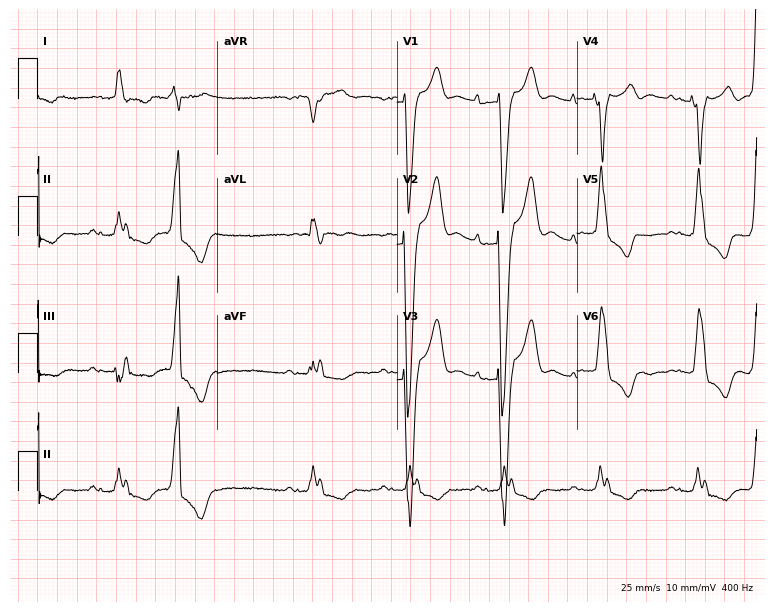
ECG (7.3-second recording at 400 Hz) — a 79-year-old man. Findings include first-degree AV block, left bundle branch block.